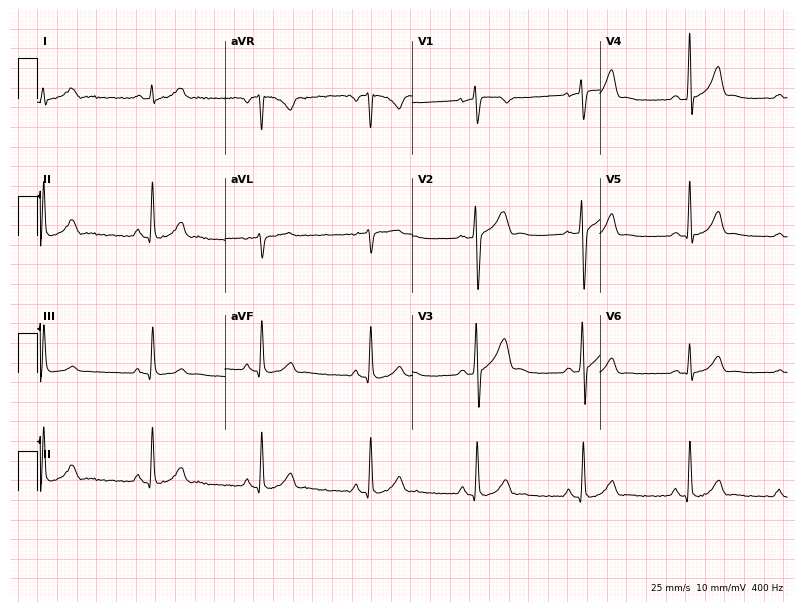
12-lead ECG (7.6-second recording at 400 Hz) from a man, 34 years old. Labelled as a normal ECG.